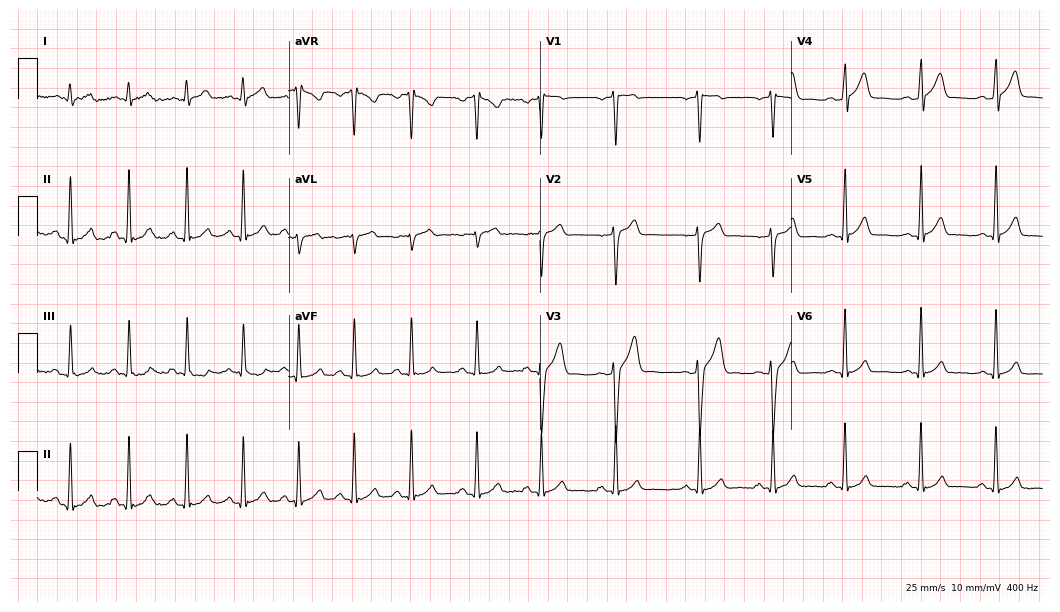
Resting 12-lead electrocardiogram (10.2-second recording at 400 Hz). Patient: a male, 21 years old. None of these six findings is recorded: first-degree AV block, right bundle branch block, left bundle branch block, sinus bradycardia, atrial fibrillation, sinus tachycardia. Only these six findings were labelled.